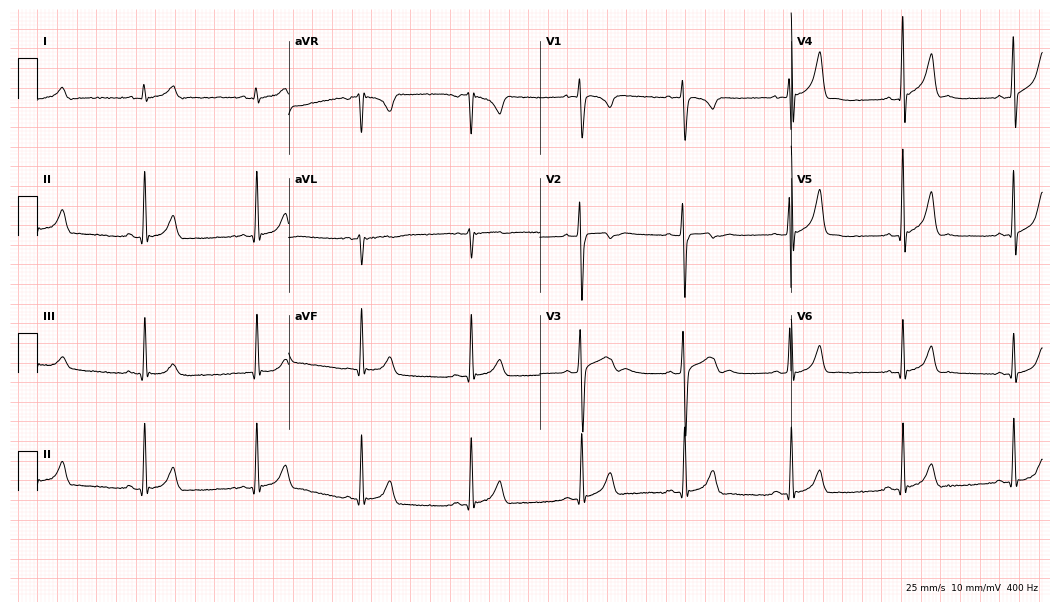
Resting 12-lead electrocardiogram (10.2-second recording at 400 Hz). Patient: a 77-year-old man. Read as a normal ECG.